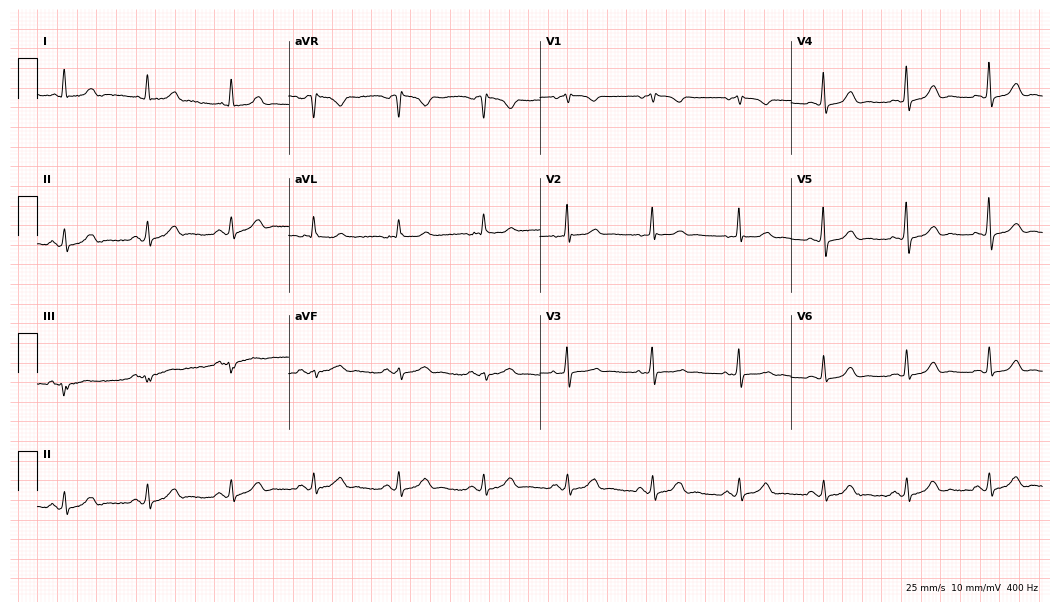
Standard 12-lead ECG recorded from a female, 69 years old. Read as a normal ECG.